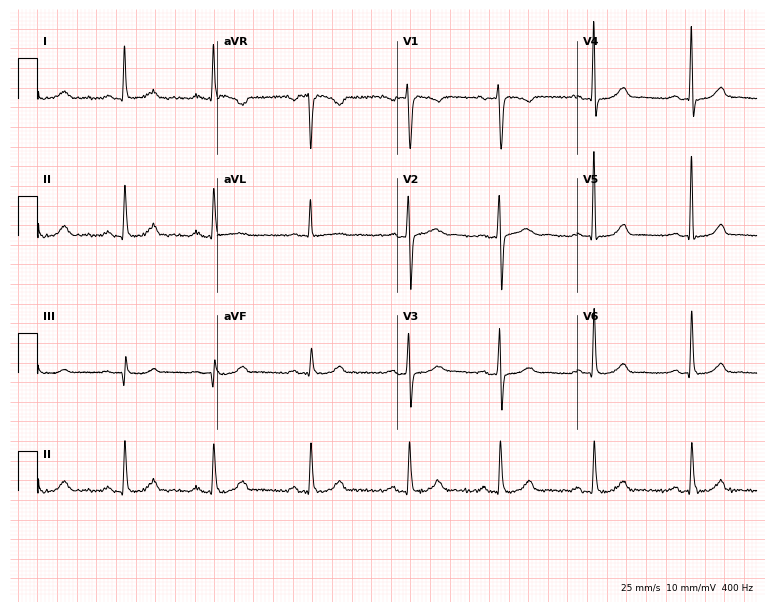
Electrocardiogram, a 25-year-old woman. Overall reading on record: normal ECG.